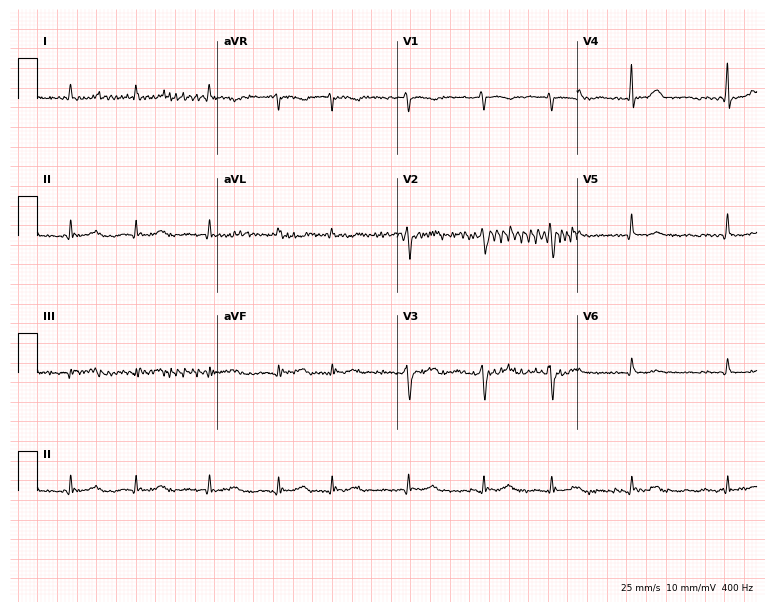
12-lead ECG (7.3-second recording at 400 Hz) from an 84-year-old man. Screened for six findings — first-degree AV block, right bundle branch block, left bundle branch block, sinus bradycardia, atrial fibrillation, sinus tachycardia — none is recorded. Only these six findings were labelled.